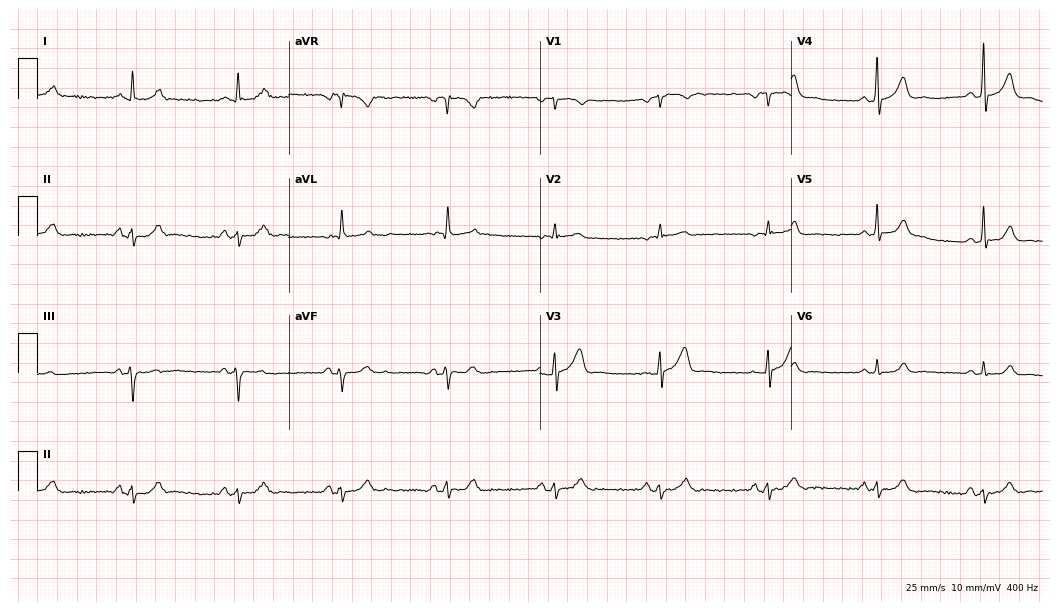
12-lead ECG from a 61-year-old man (10.2-second recording at 400 Hz). Recorded interpretation: within normal limits.